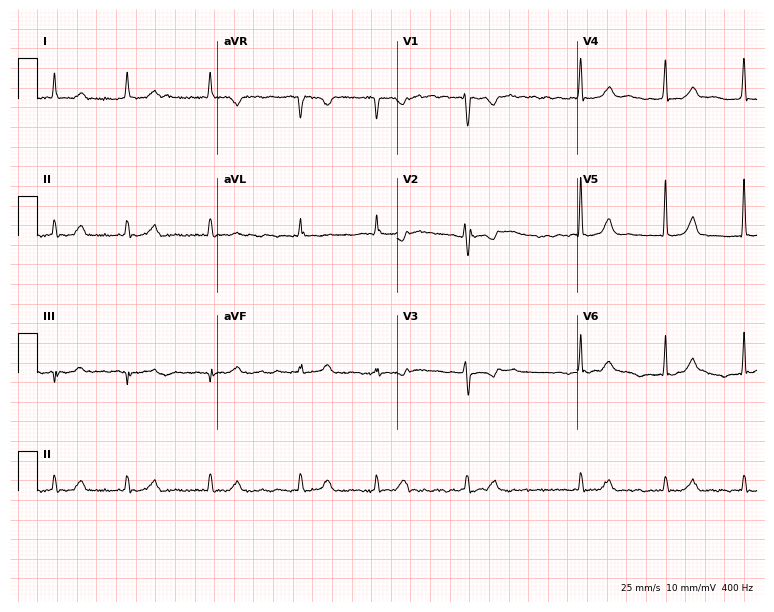
ECG (7.3-second recording at 400 Hz) — a female patient, 39 years old. Findings include atrial fibrillation.